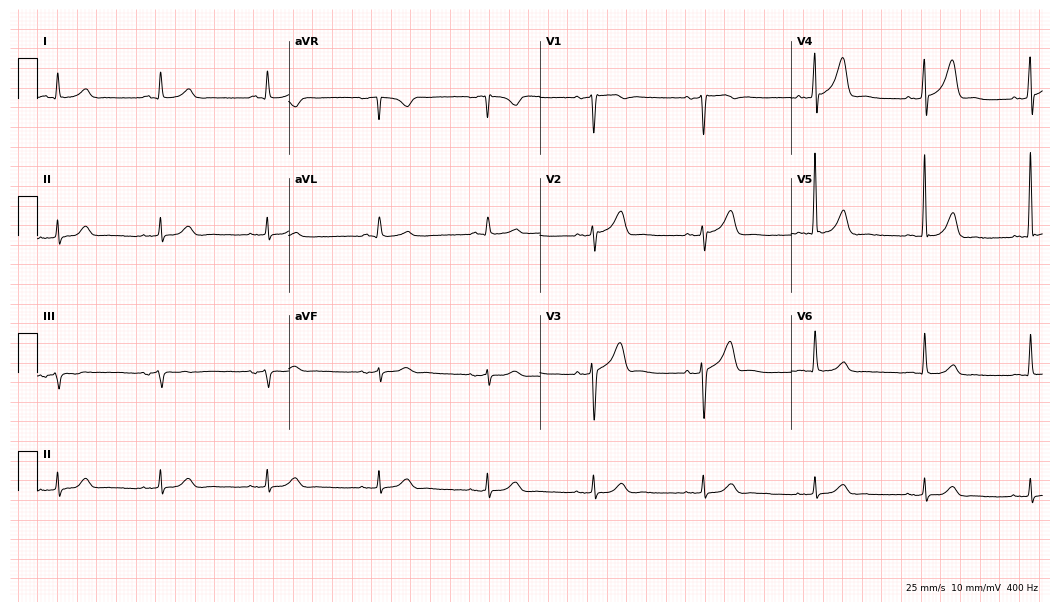
Resting 12-lead electrocardiogram. Patient: a male, 74 years old. Read as a normal ECG.